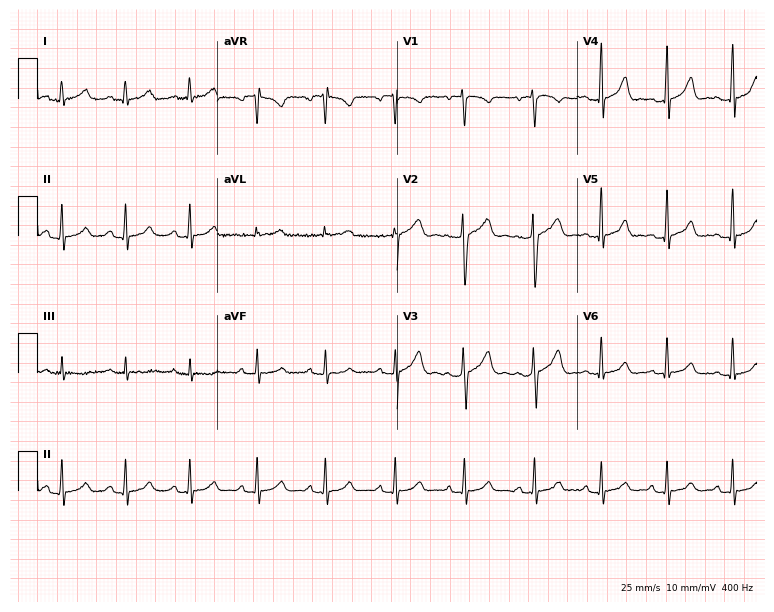
ECG — a female, 23 years old. Labelled as a normal ECG.